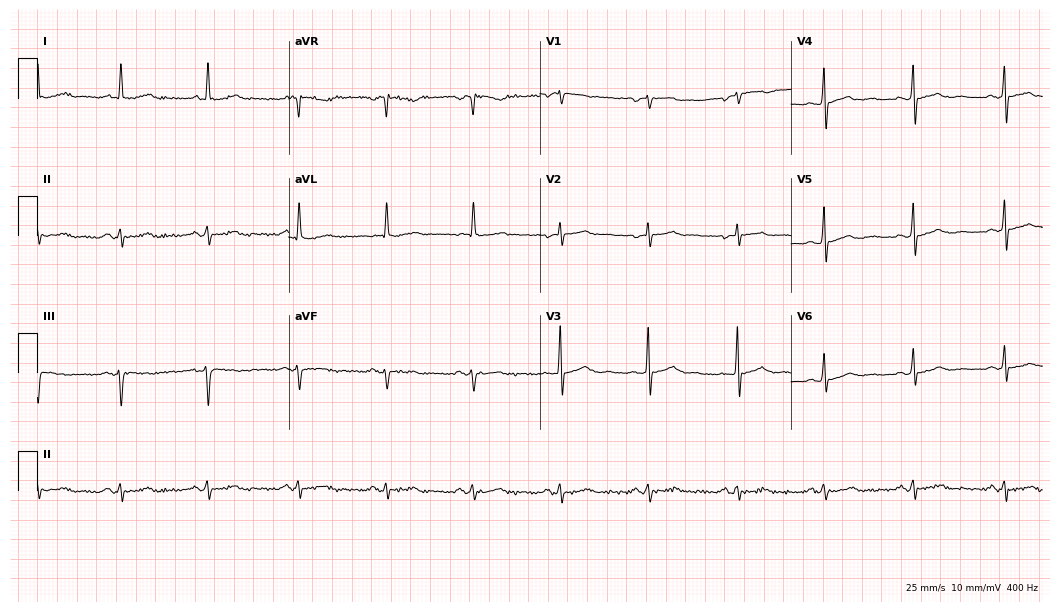
Electrocardiogram (10.2-second recording at 400 Hz), a female patient, 65 years old. Of the six screened findings (first-degree AV block, right bundle branch block, left bundle branch block, sinus bradycardia, atrial fibrillation, sinus tachycardia), none is recorded. Other findings, if any, are not listed.